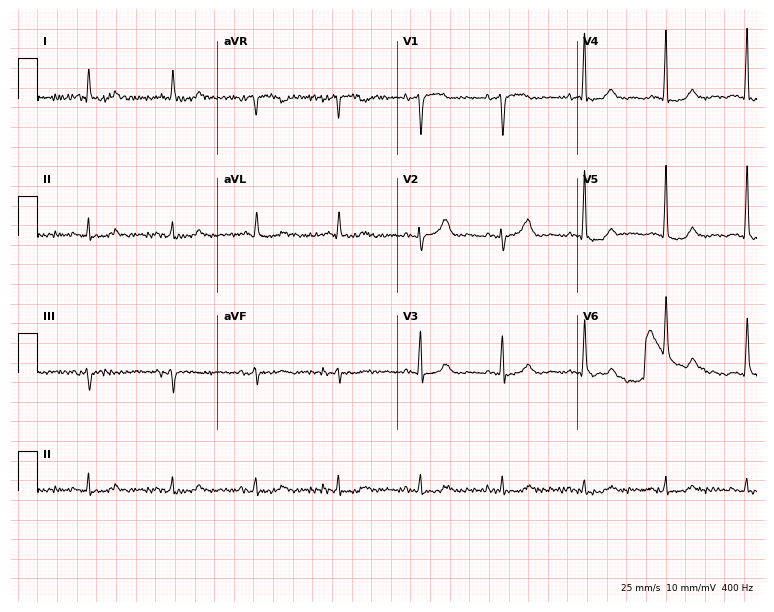
ECG — an 81-year-old female. Labelled as a normal ECG.